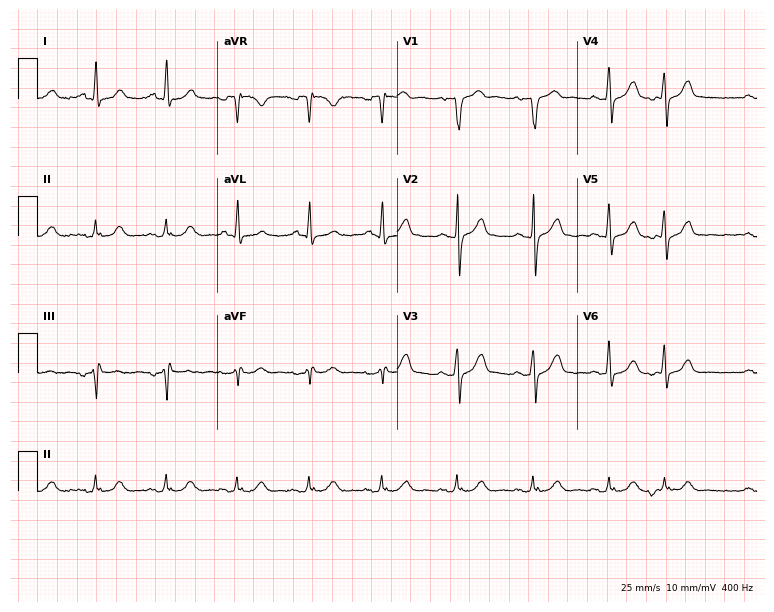
12-lead ECG from a man, 80 years old. No first-degree AV block, right bundle branch block (RBBB), left bundle branch block (LBBB), sinus bradycardia, atrial fibrillation (AF) or sinus tachycardia recorded for this tracing. Findings outside these six are not listed.